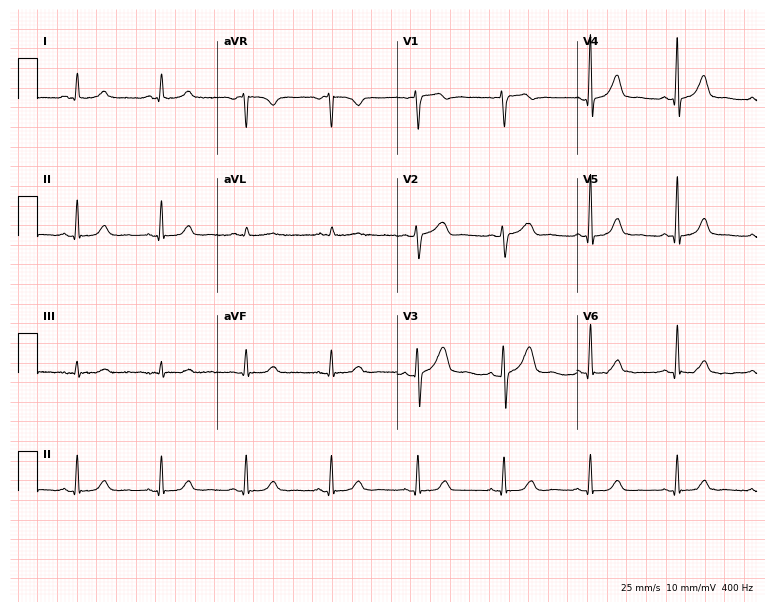
ECG (7.3-second recording at 400 Hz) — a woman, 63 years old. Labelled as a normal ECG.